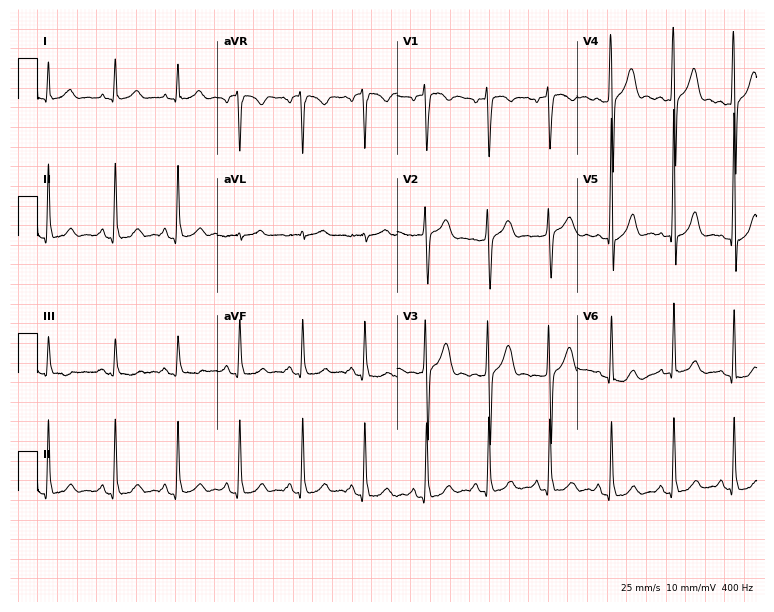
Electrocardiogram, a male patient, 33 years old. Of the six screened findings (first-degree AV block, right bundle branch block, left bundle branch block, sinus bradycardia, atrial fibrillation, sinus tachycardia), none is recorded. Findings outside these six are not listed.